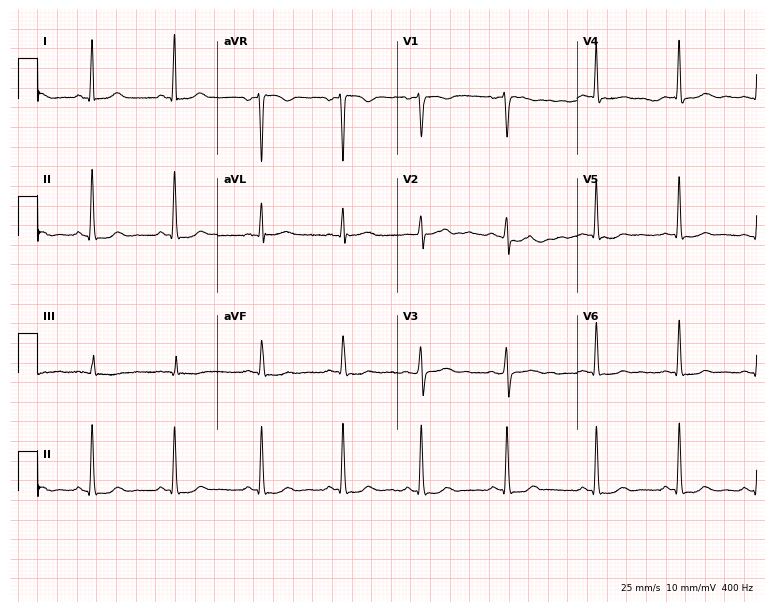
12-lead ECG (7.3-second recording at 400 Hz) from a 41-year-old female. Screened for six findings — first-degree AV block, right bundle branch block, left bundle branch block, sinus bradycardia, atrial fibrillation, sinus tachycardia — none is recorded. Findings outside these six are not listed.